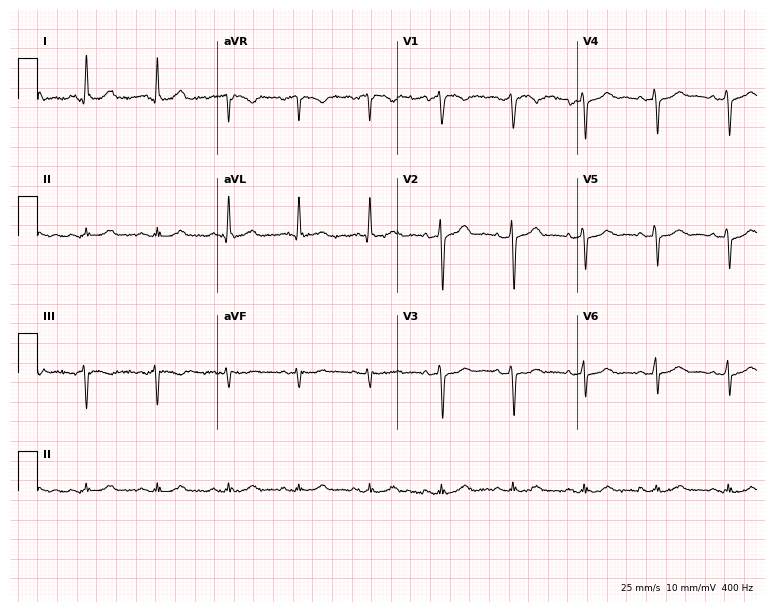
Resting 12-lead electrocardiogram. Patient: a male, 79 years old. None of these six findings is recorded: first-degree AV block, right bundle branch block (RBBB), left bundle branch block (LBBB), sinus bradycardia, atrial fibrillation (AF), sinus tachycardia.